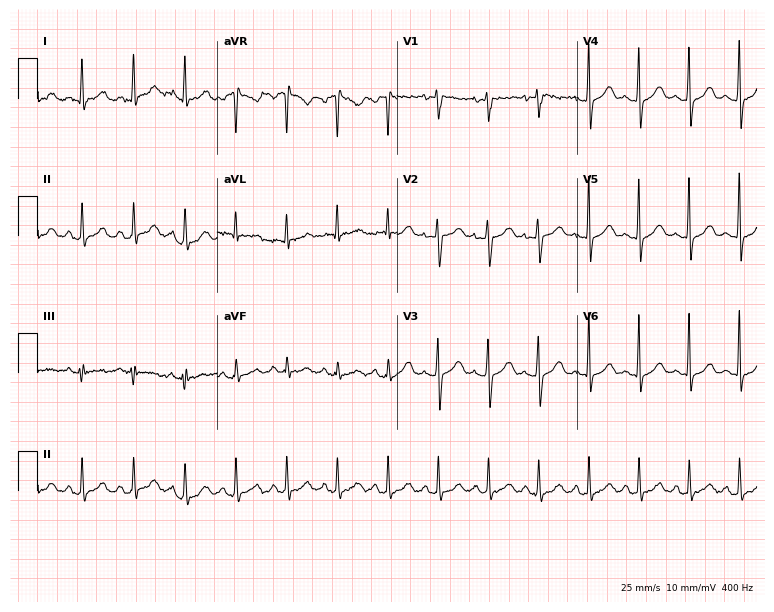
ECG — a female, 32 years old. Findings include sinus tachycardia (a sinus rate of 100 beats per minute or more).